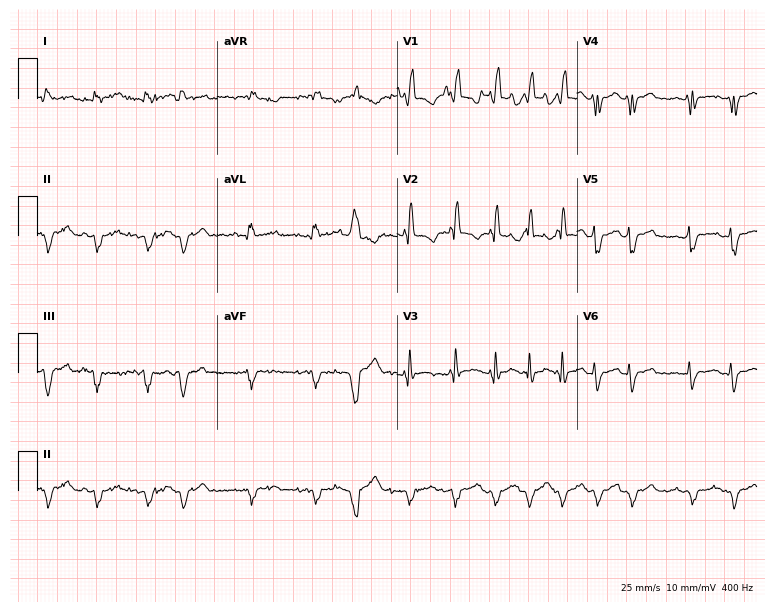
12-lead ECG (7.3-second recording at 400 Hz) from a 44-year-old female patient. Findings include right bundle branch block, atrial fibrillation.